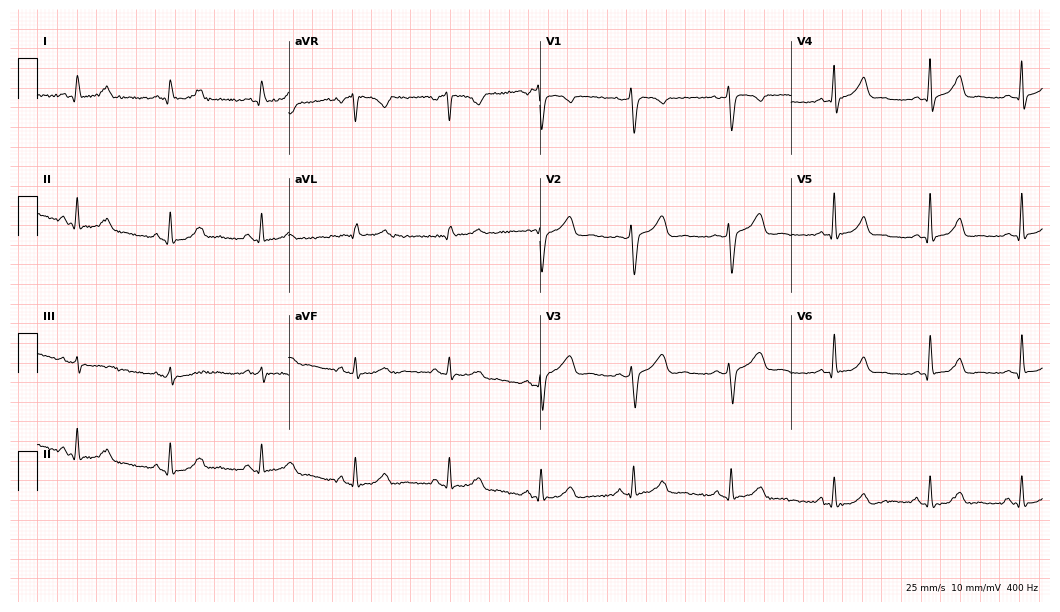
12-lead ECG from a female, 44 years old. Labelled as a normal ECG.